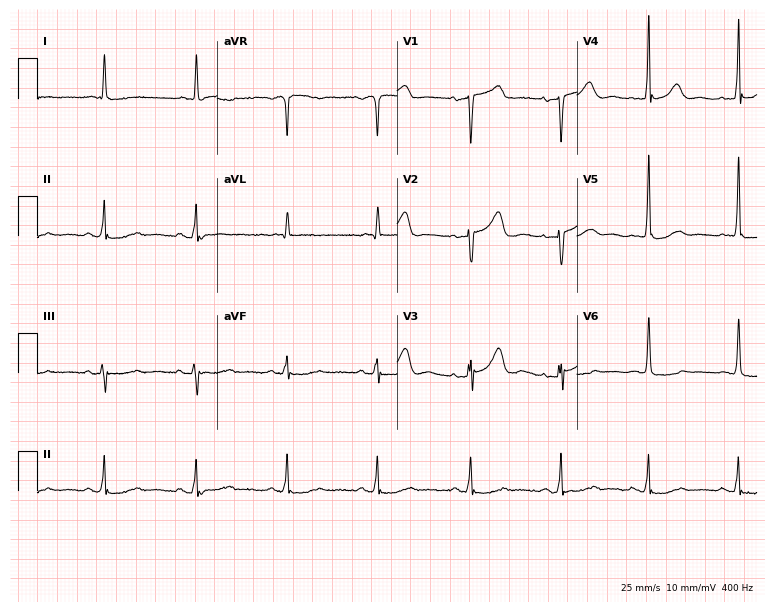
Resting 12-lead electrocardiogram (7.3-second recording at 400 Hz). Patient: a 75-year-old woman. Read as a normal ECG.